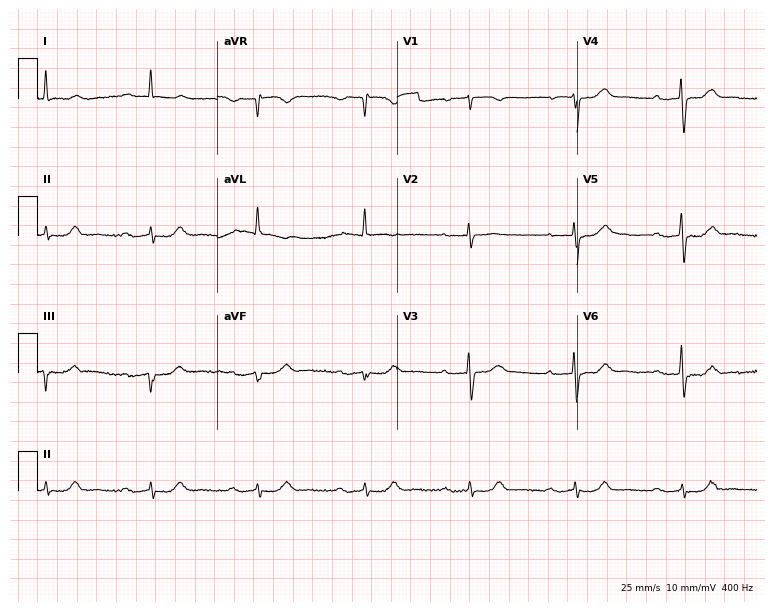
12-lead ECG from an 82-year-old man (7.3-second recording at 400 Hz). Shows first-degree AV block.